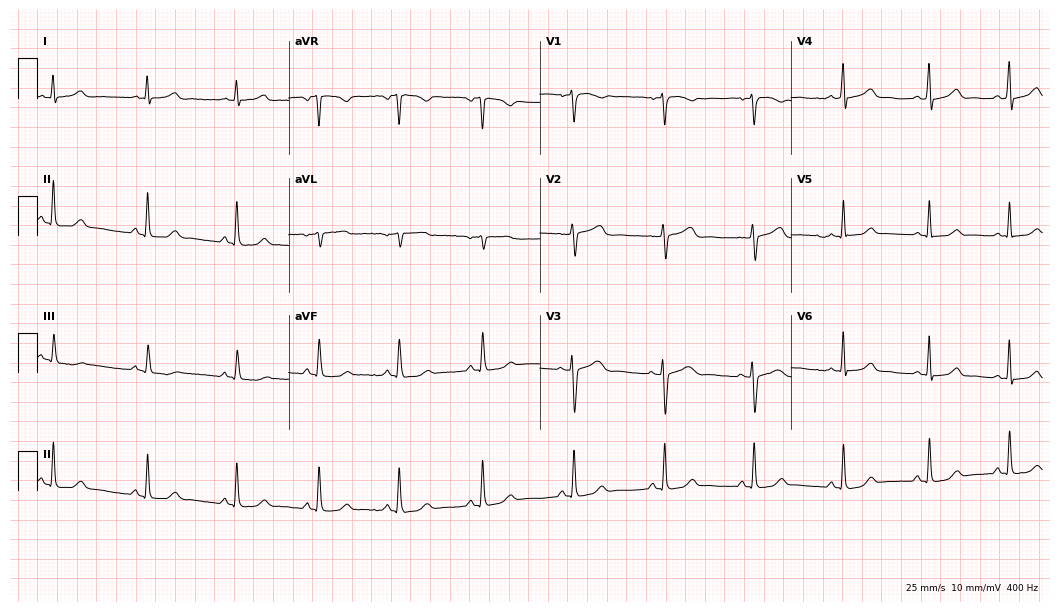
ECG (10.2-second recording at 400 Hz) — a 43-year-old woman. Labelled as a normal ECG.